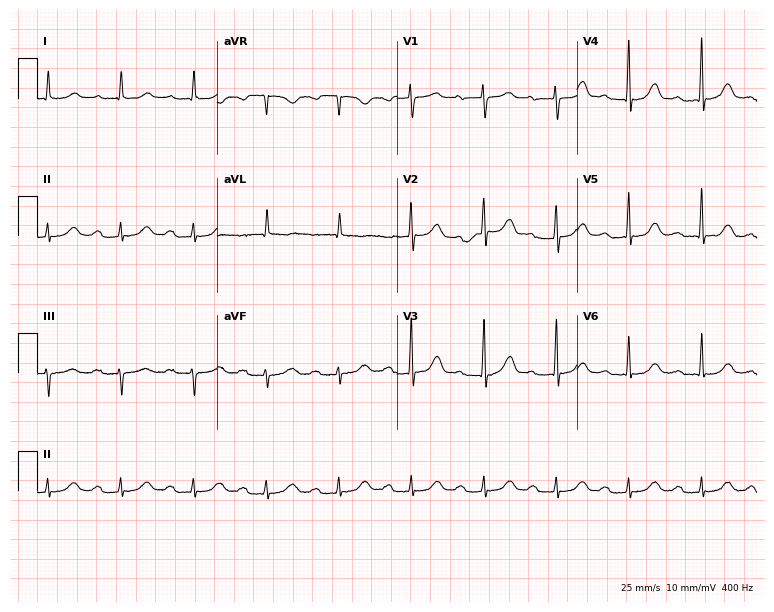
Electrocardiogram, a woman, 82 years old. Of the six screened findings (first-degree AV block, right bundle branch block, left bundle branch block, sinus bradycardia, atrial fibrillation, sinus tachycardia), none is recorded.